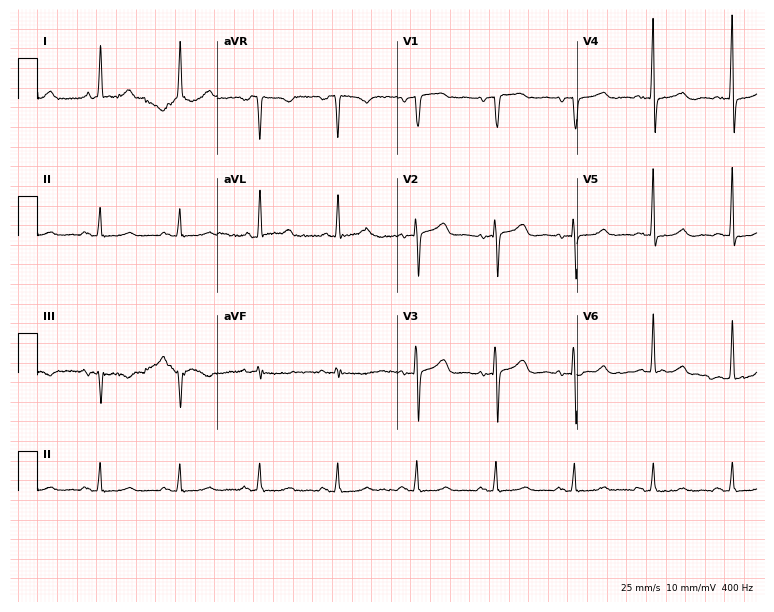
12-lead ECG from a female, 81 years old (7.3-second recording at 400 Hz). No first-degree AV block, right bundle branch block, left bundle branch block, sinus bradycardia, atrial fibrillation or sinus tachycardia recorded for this tracing. Findings outside these six are not listed.